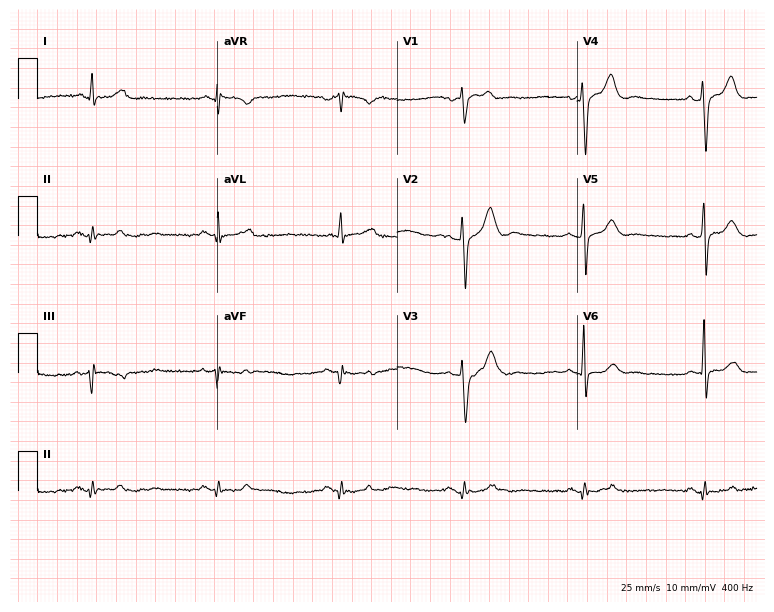
12-lead ECG from a man, 64 years old. No first-degree AV block, right bundle branch block, left bundle branch block, sinus bradycardia, atrial fibrillation or sinus tachycardia recorded for this tracing. Only these six findings were labelled.